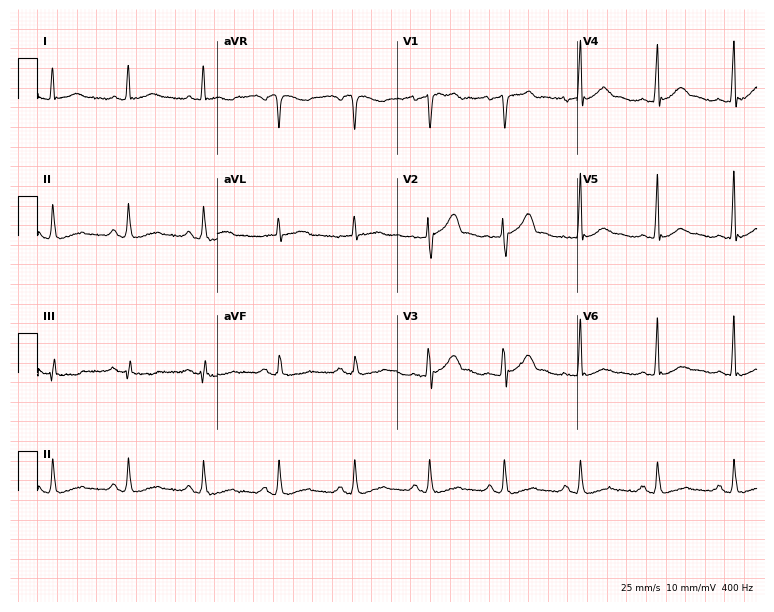
ECG (7.3-second recording at 400 Hz) — a 53-year-old male patient. Labelled as a normal ECG.